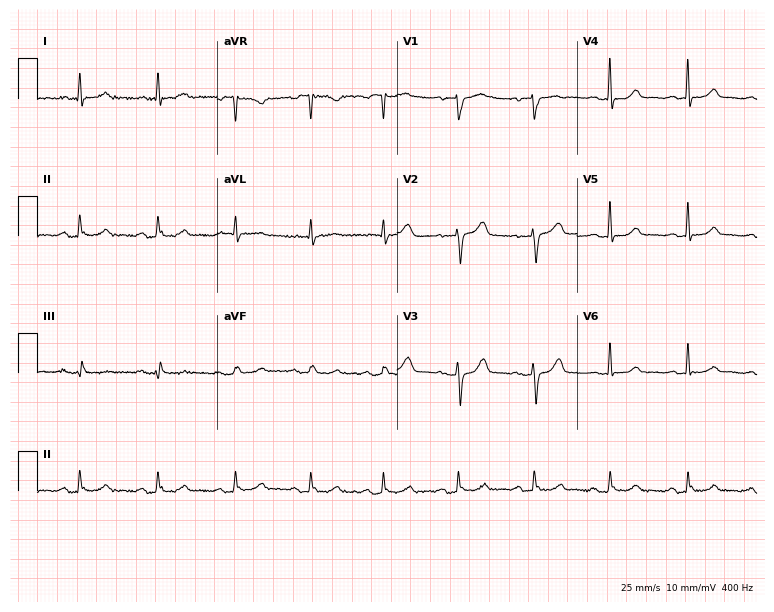
Standard 12-lead ECG recorded from a 66-year-old man. Read as a normal ECG.